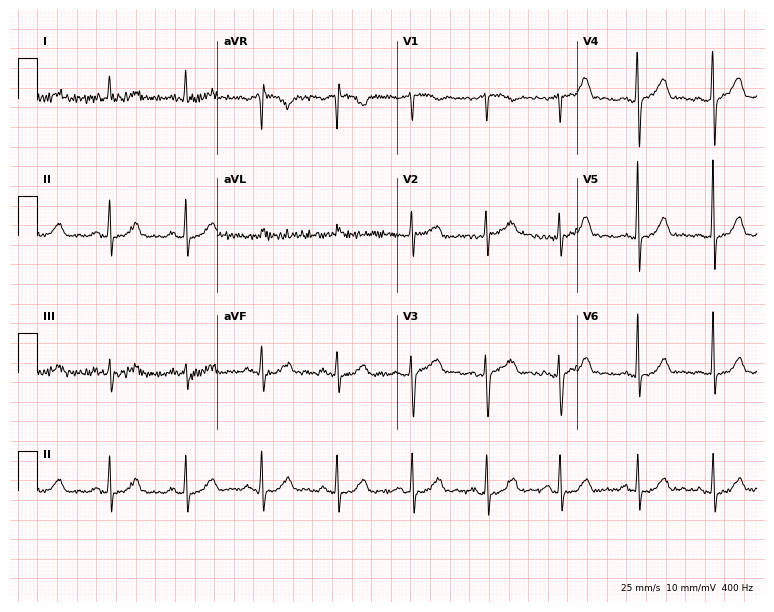
Resting 12-lead electrocardiogram (7.3-second recording at 400 Hz). Patient: a female, 68 years old. None of these six findings is recorded: first-degree AV block, right bundle branch block, left bundle branch block, sinus bradycardia, atrial fibrillation, sinus tachycardia. Findings outside these six are not listed.